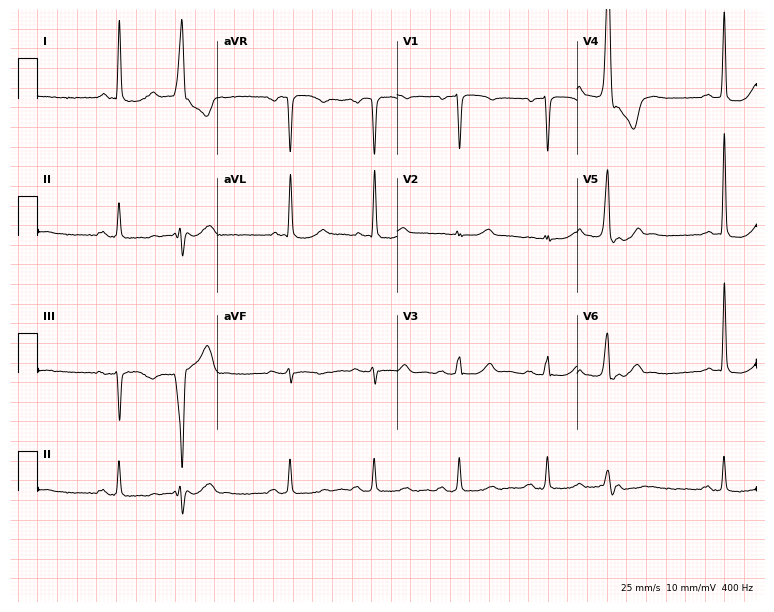
ECG (7.3-second recording at 400 Hz) — a 72-year-old male patient. Screened for six findings — first-degree AV block, right bundle branch block, left bundle branch block, sinus bradycardia, atrial fibrillation, sinus tachycardia — none is recorded.